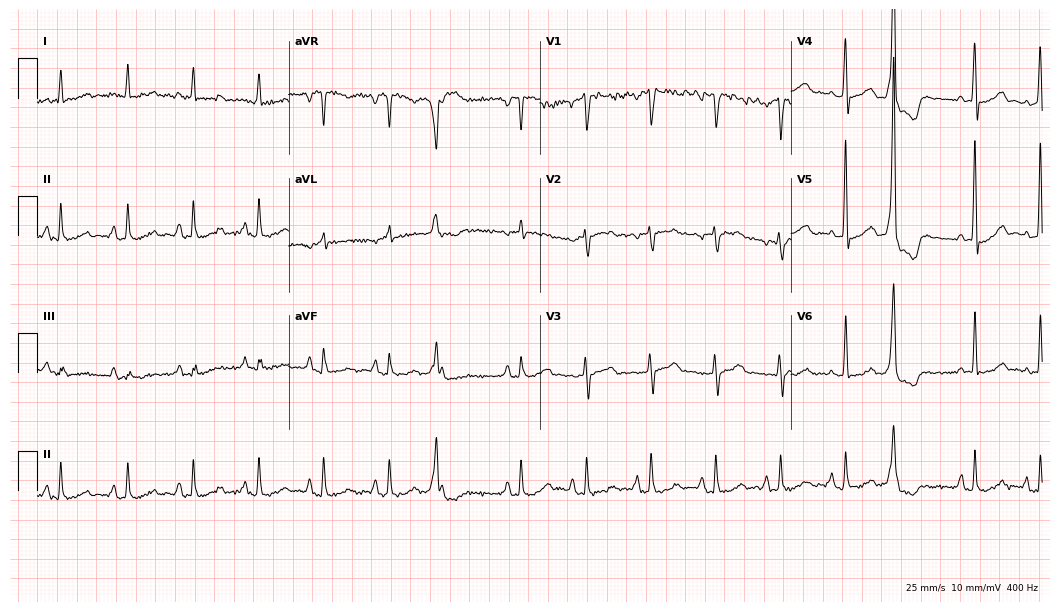
12-lead ECG from a male patient, 62 years old (10.2-second recording at 400 Hz). No first-degree AV block, right bundle branch block (RBBB), left bundle branch block (LBBB), sinus bradycardia, atrial fibrillation (AF) or sinus tachycardia recorded for this tracing.